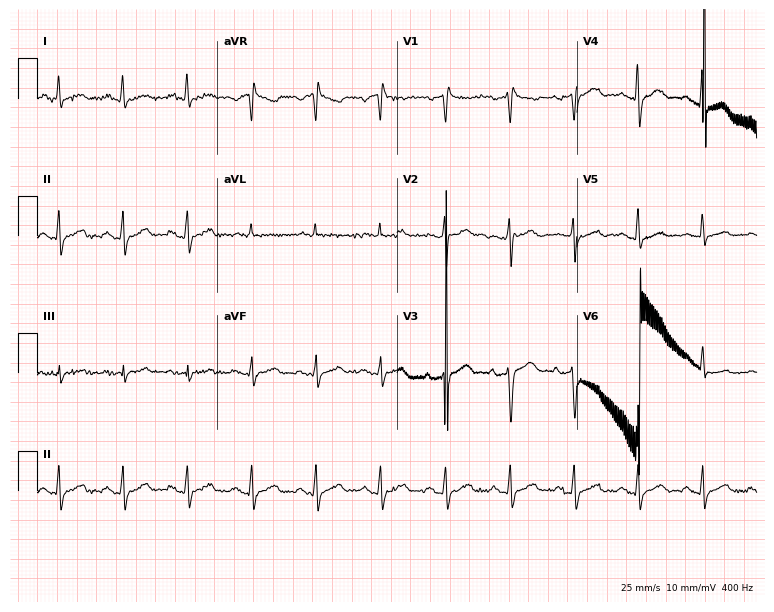
ECG (7.3-second recording at 400 Hz) — a 53-year-old man. Screened for six findings — first-degree AV block, right bundle branch block, left bundle branch block, sinus bradycardia, atrial fibrillation, sinus tachycardia — none is recorded.